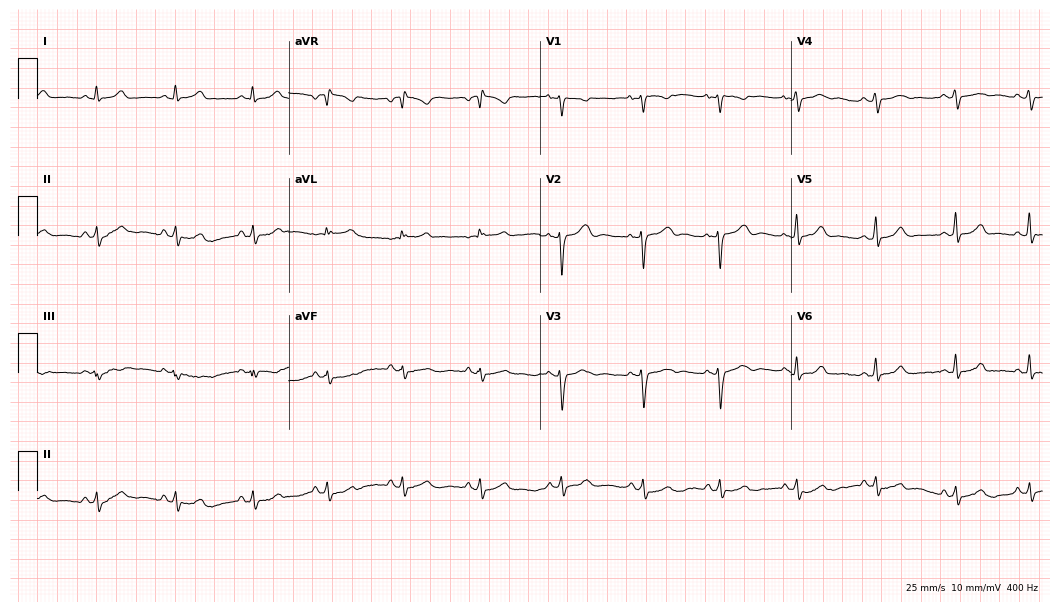
12-lead ECG (10.2-second recording at 400 Hz) from a female patient, 27 years old. Labelled as a normal ECG.